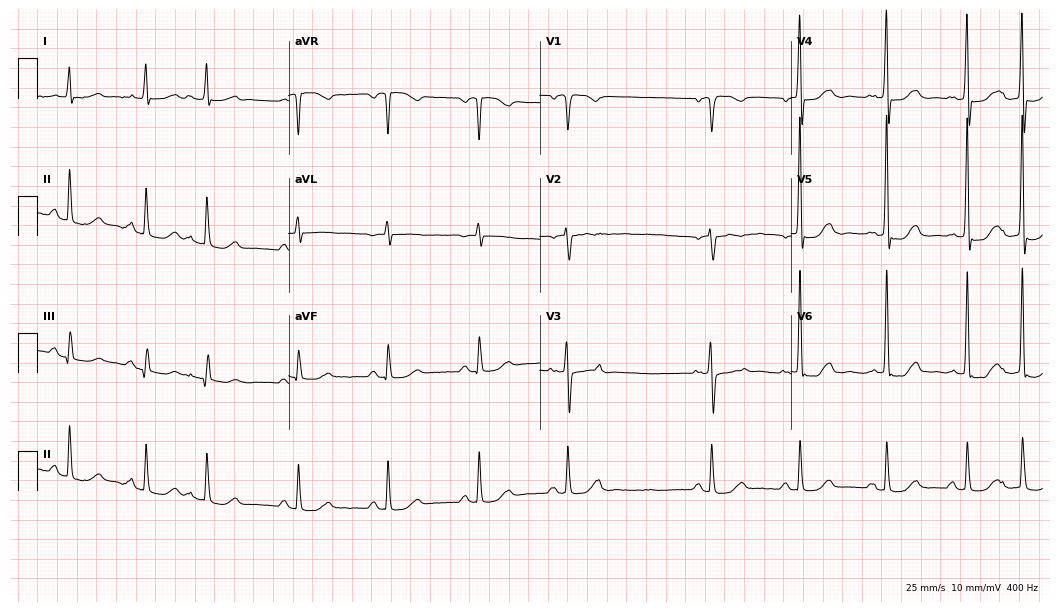
ECG (10.2-second recording at 400 Hz) — an 83-year-old female patient. Screened for six findings — first-degree AV block, right bundle branch block (RBBB), left bundle branch block (LBBB), sinus bradycardia, atrial fibrillation (AF), sinus tachycardia — none is recorded. Other findings, if any, are not listed.